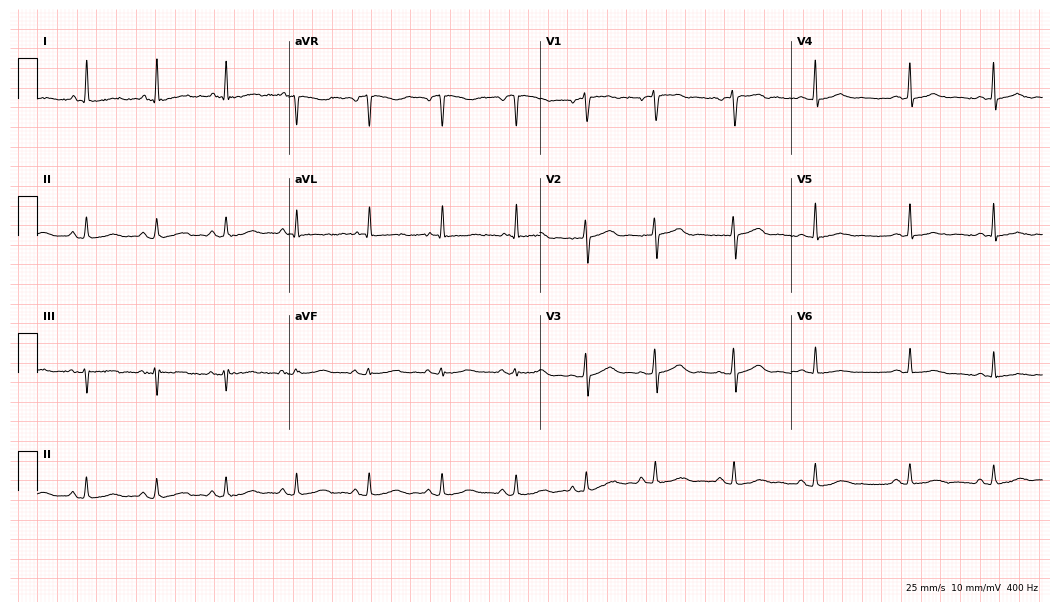
12-lead ECG from a 65-year-old female. Recorded interpretation: within normal limits.